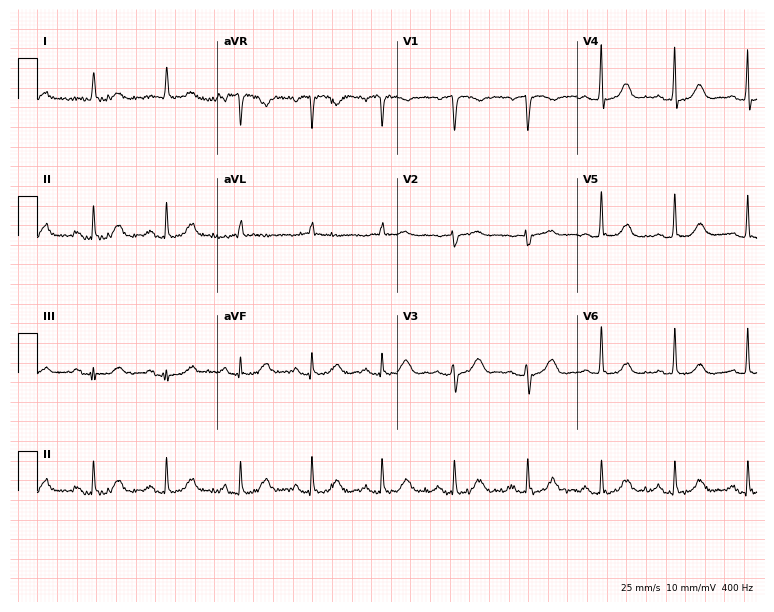
12-lead ECG from a female, 78 years old (7.3-second recording at 400 Hz). Recorded interpretation: within normal limits.